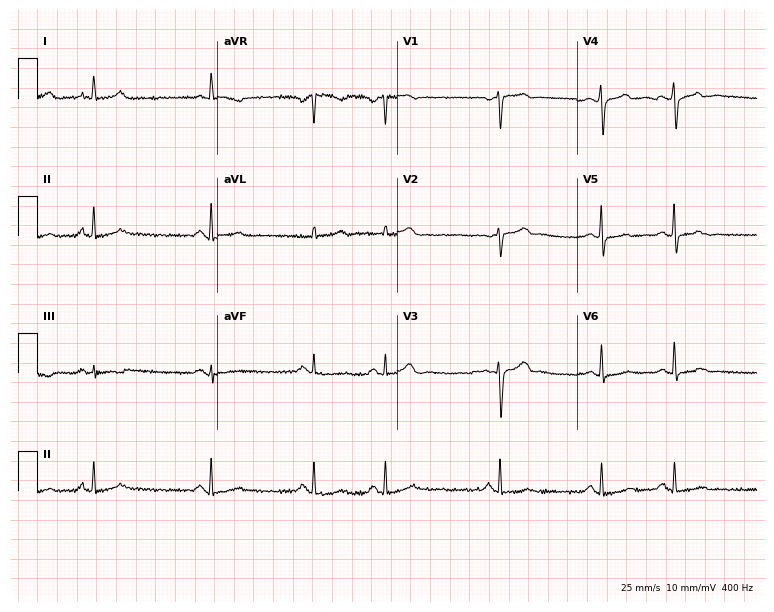
ECG (7.3-second recording at 400 Hz) — a 52-year-old female patient. Screened for six findings — first-degree AV block, right bundle branch block, left bundle branch block, sinus bradycardia, atrial fibrillation, sinus tachycardia — none is recorded. Findings outside these six are not listed.